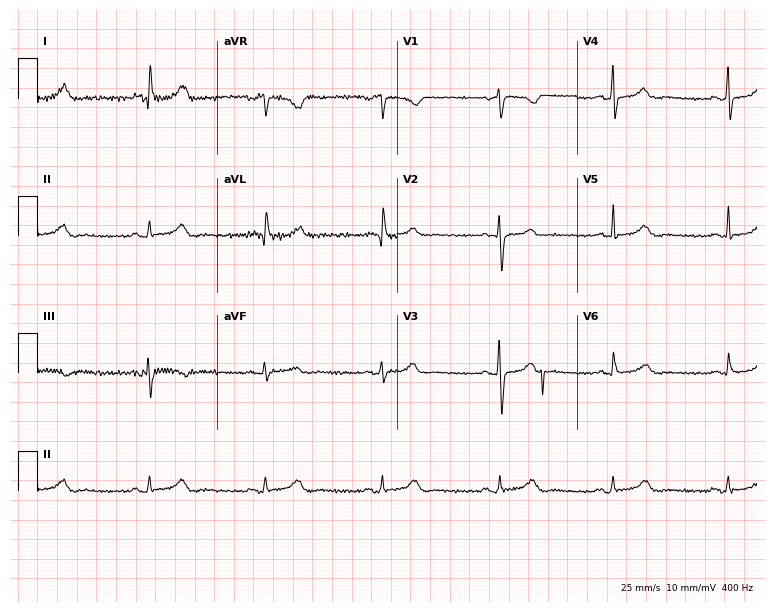
Standard 12-lead ECG recorded from a 57-year-old woman. None of these six findings is recorded: first-degree AV block, right bundle branch block (RBBB), left bundle branch block (LBBB), sinus bradycardia, atrial fibrillation (AF), sinus tachycardia. Other findings, if any, are not listed.